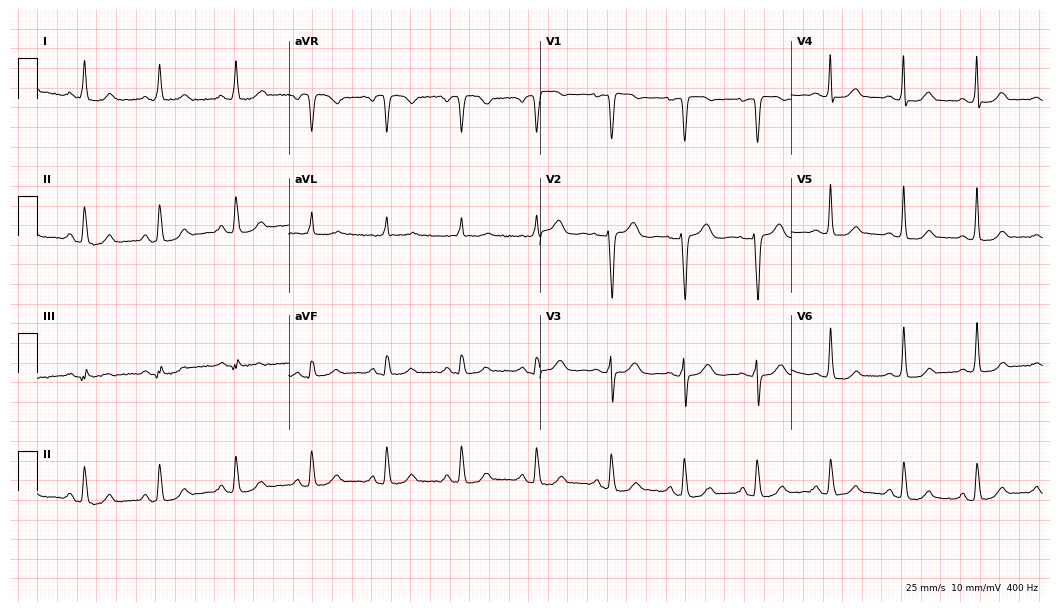
Electrocardiogram (10.2-second recording at 400 Hz), a female, 59 years old. Of the six screened findings (first-degree AV block, right bundle branch block, left bundle branch block, sinus bradycardia, atrial fibrillation, sinus tachycardia), none is recorded. Findings outside these six are not listed.